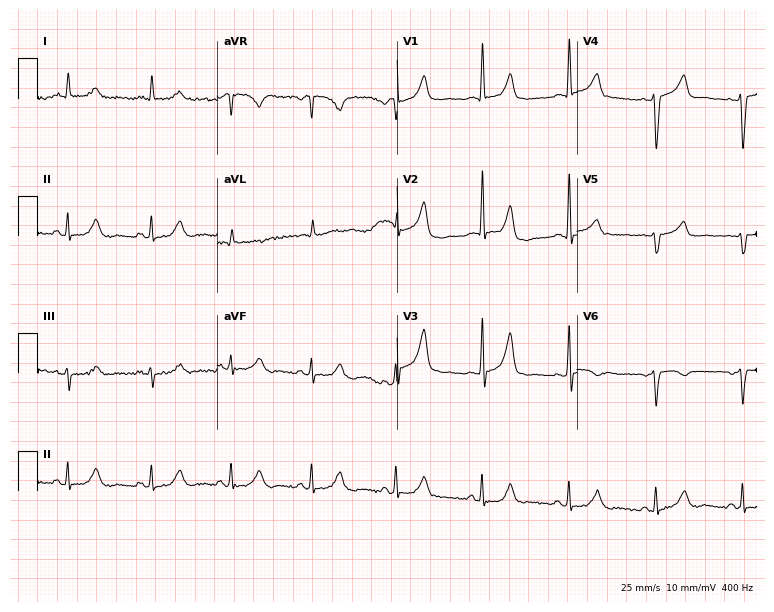
12-lead ECG from an 81-year-old male. Screened for six findings — first-degree AV block, right bundle branch block, left bundle branch block, sinus bradycardia, atrial fibrillation, sinus tachycardia — none is recorded.